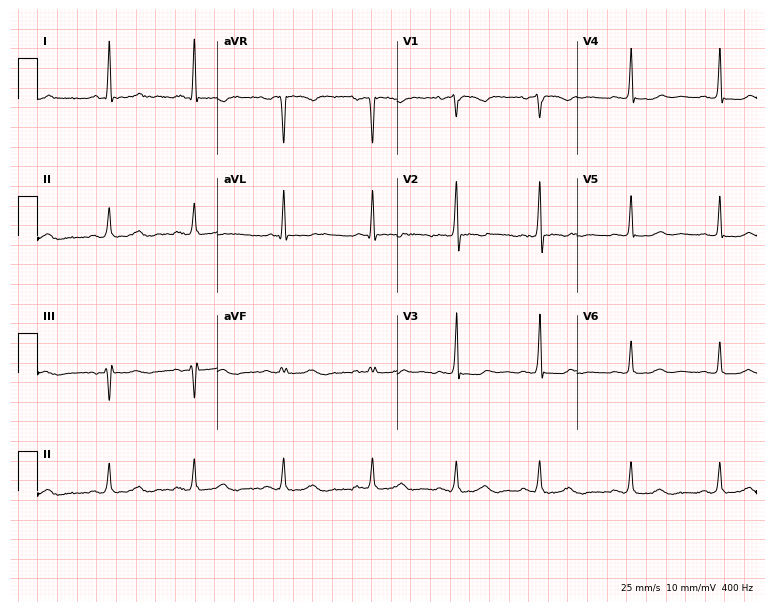
Resting 12-lead electrocardiogram. Patient: a 47-year-old female. None of these six findings is recorded: first-degree AV block, right bundle branch block, left bundle branch block, sinus bradycardia, atrial fibrillation, sinus tachycardia.